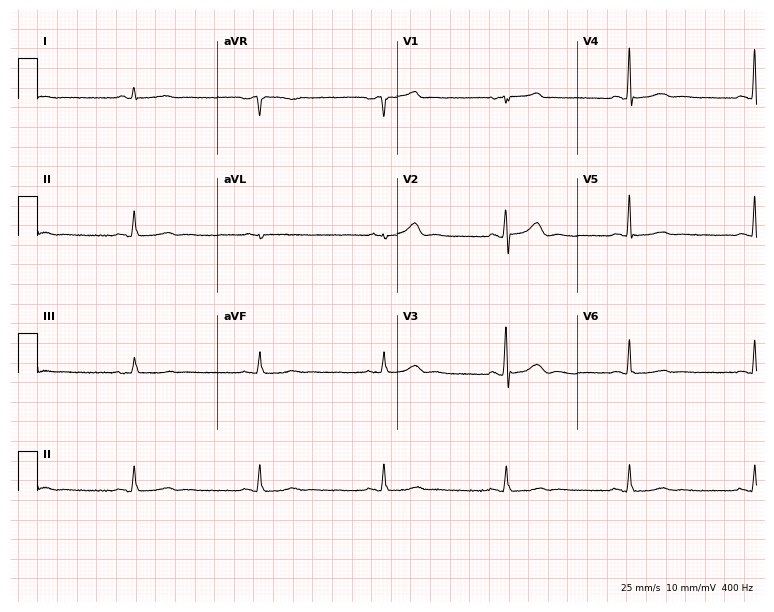
Resting 12-lead electrocardiogram. Patient: a woman, 71 years old. The tracing shows sinus bradycardia (a sinus rate of 50 beats per minute or less).